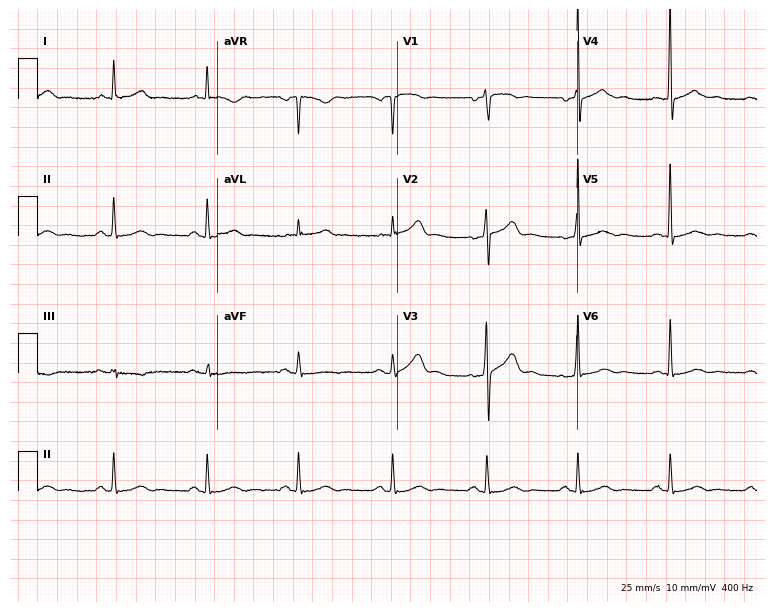
12-lead ECG (7.3-second recording at 400 Hz) from a male patient, 48 years old. Screened for six findings — first-degree AV block, right bundle branch block, left bundle branch block, sinus bradycardia, atrial fibrillation, sinus tachycardia — none is recorded. Only these six findings were labelled.